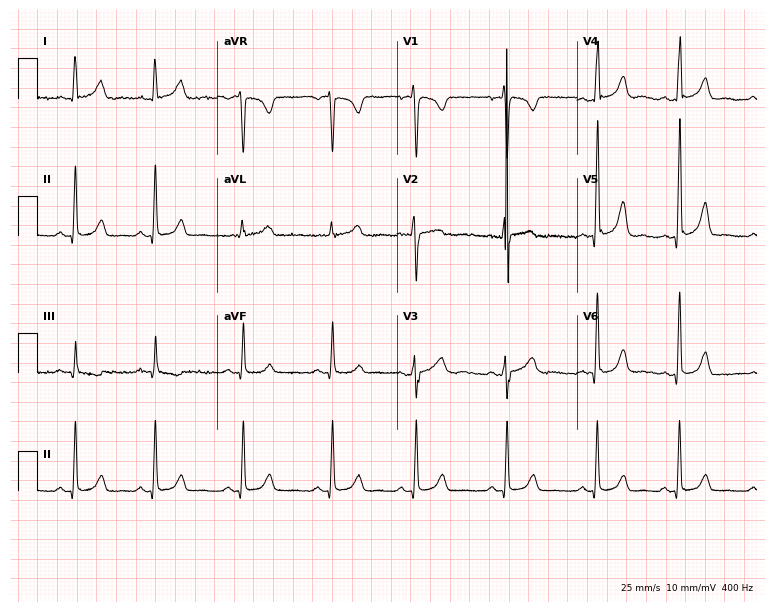
12-lead ECG from a woman, 28 years old (7.3-second recording at 400 Hz). Recorded interpretation: within normal limits.